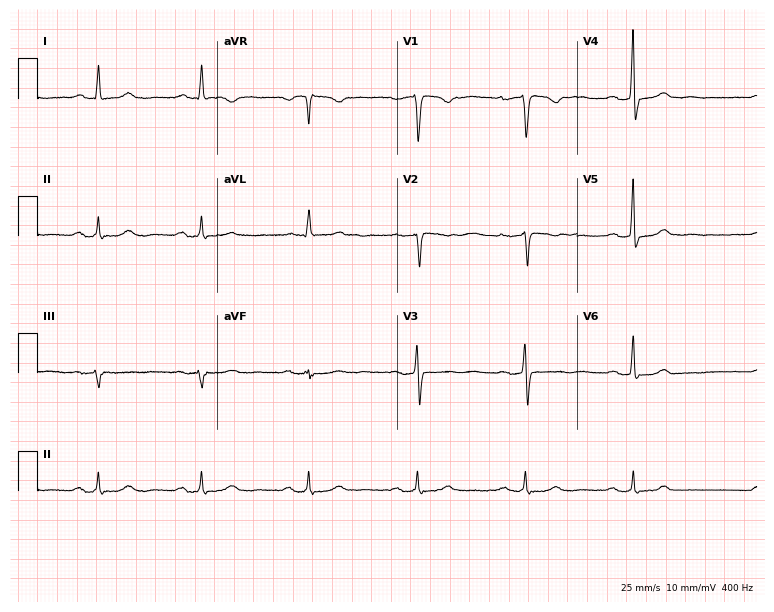
ECG — a female, 62 years old. Labelled as a normal ECG.